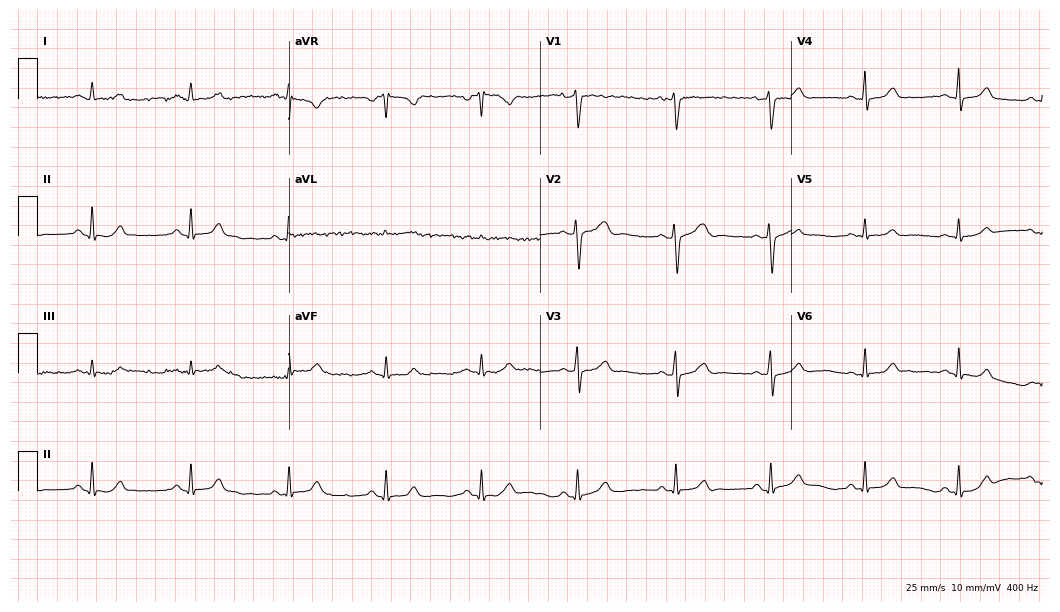
Resting 12-lead electrocardiogram. Patient: a woman, 30 years old. Read as a normal ECG.